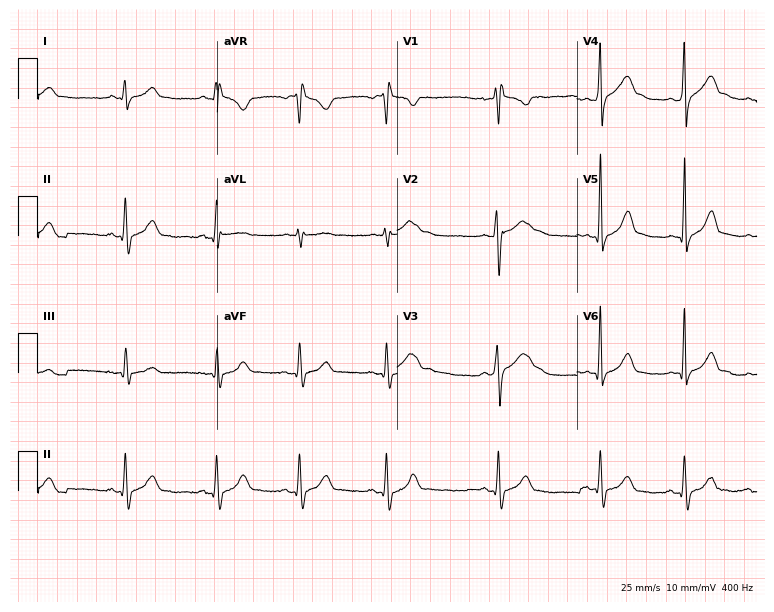
Standard 12-lead ECG recorded from a man, 23 years old. None of these six findings is recorded: first-degree AV block, right bundle branch block, left bundle branch block, sinus bradycardia, atrial fibrillation, sinus tachycardia.